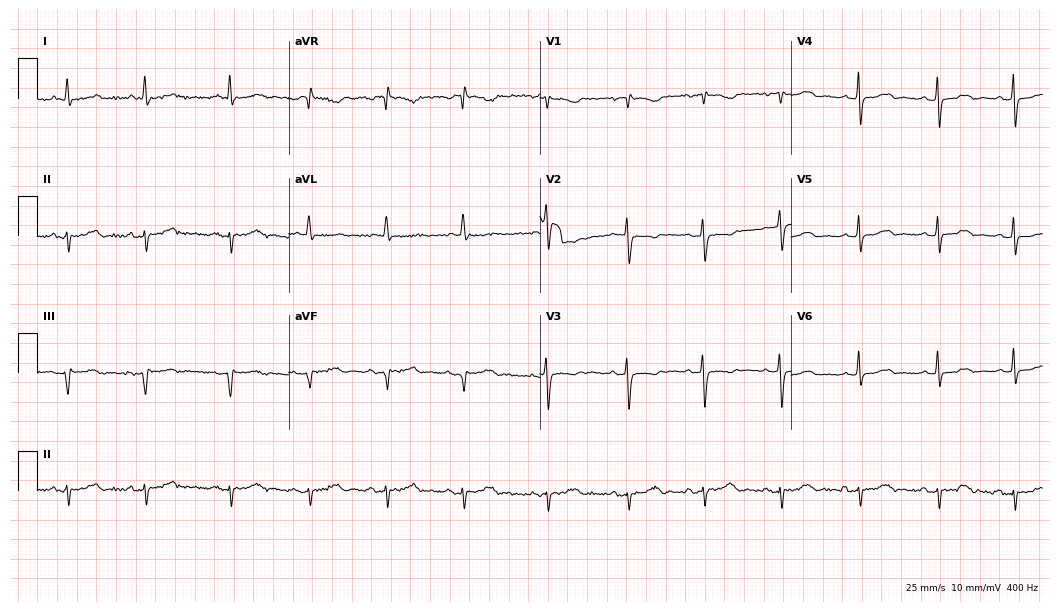
12-lead ECG (10.2-second recording at 400 Hz) from a 78-year-old female patient. Screened for six findings — first-degree AV block, right bundle branch block, left bundle branch block, sinus bradycardia, atrial fibrillation, sinus tachycardia — none is recorded.